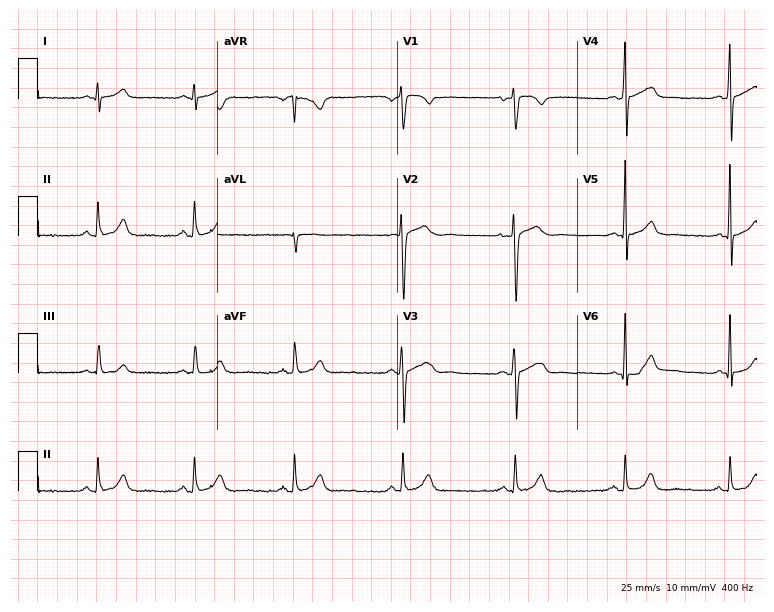
ECG — a 41-year-old male. Screened for six findings — first-degree AV block, right bundle branch block, left bundle branch block, sinus bradycardia, atrial fibrillation, sinus tachycardia — none is recorded.